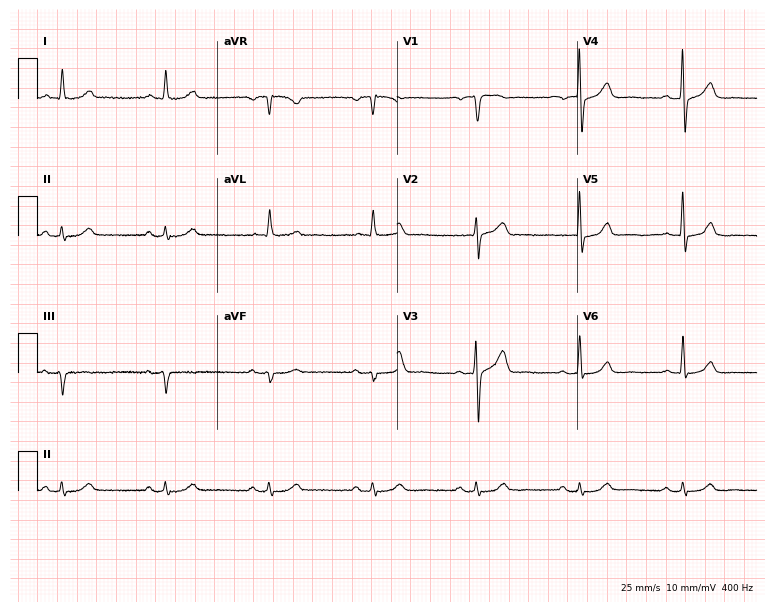
Resting 12-lead electrocardiogram. Patient: a 79-year-old male. Read as a normal ECG.